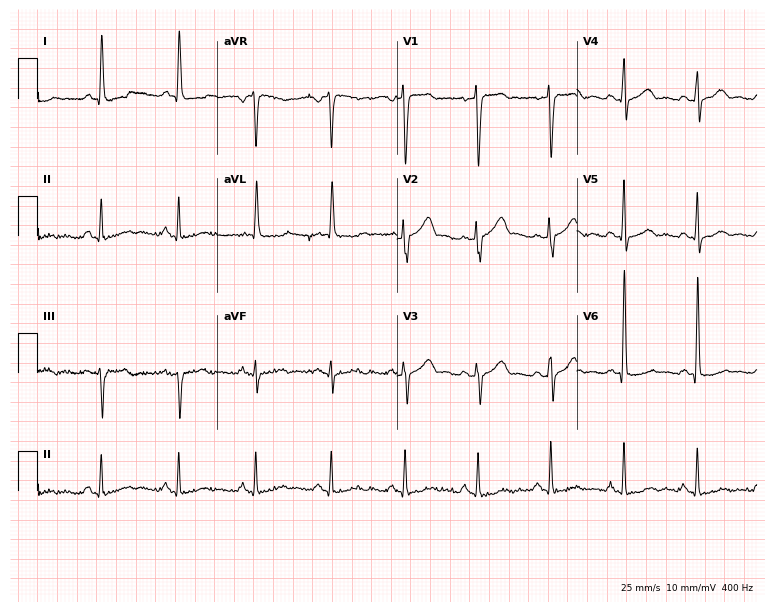
12-lead ECG from a man, 53 years old. Recorded interpretation: within normal limits.